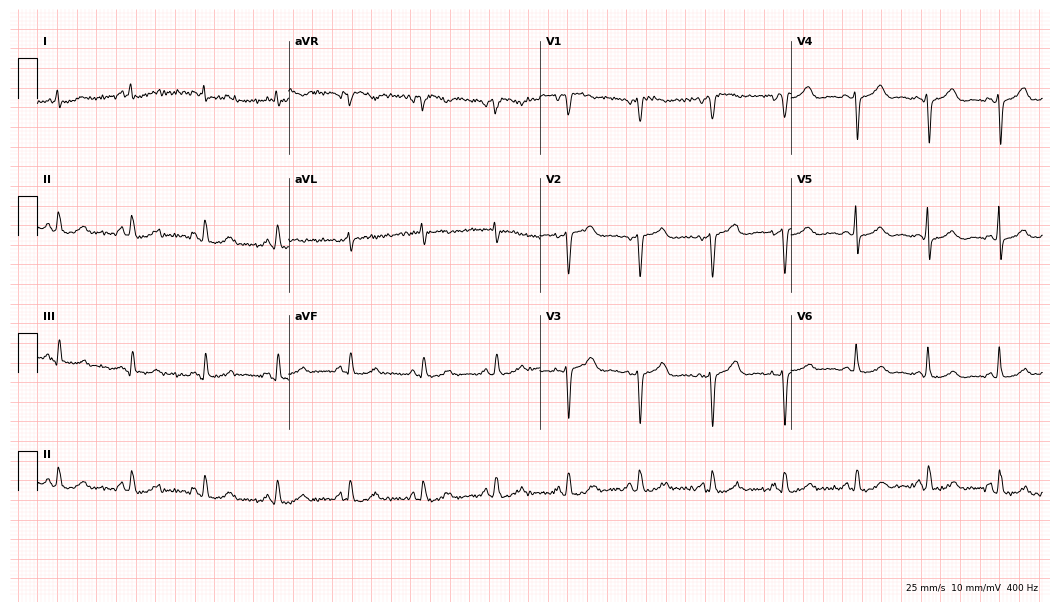
12-lead ECG (10.2-second recording at 400 Hz) from a woman, 64 years old. Screened for six findings — first-degree AV block, right bundle branch block (RBBB), left bundle branch block (LBBB), sinus bradycardia, atrial fibrillation (AF), sinus tachycardia — none is recorded. Only these six findings were labelled.